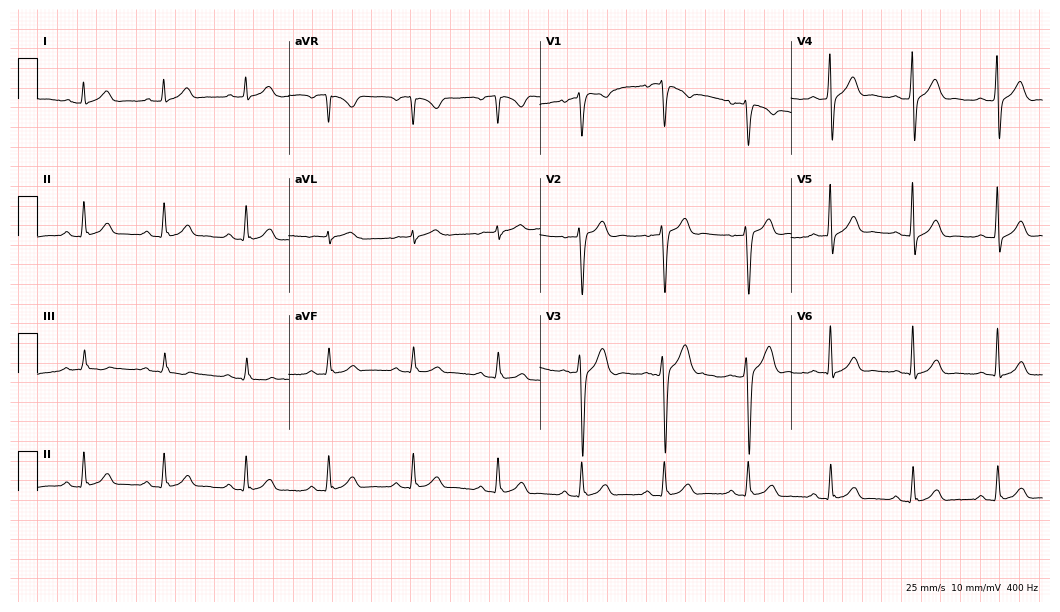
Resting 12-lead electrocardiogram (10.2-second recording at 400 Hz). Patient: a 36-year-old male. Read as a normal ECG.